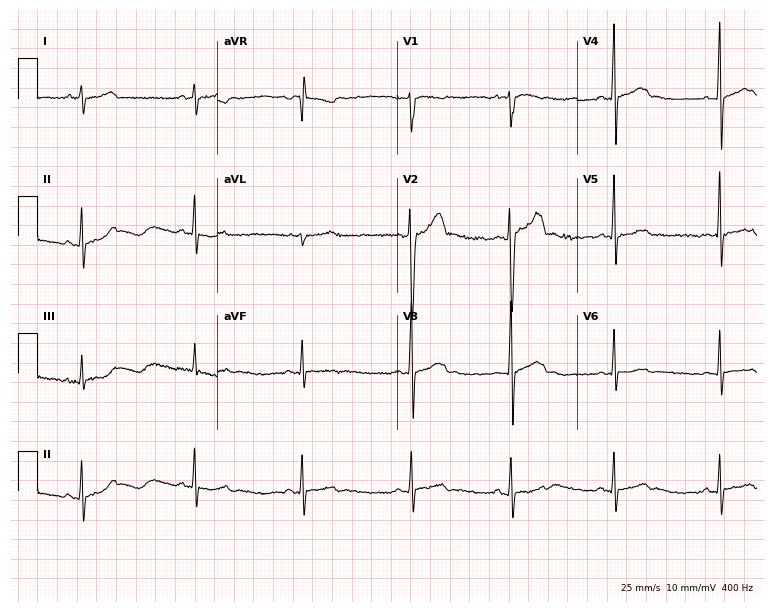
Electrocardiogram, a 56-year-old man. Overall reading on record: normal ECG.